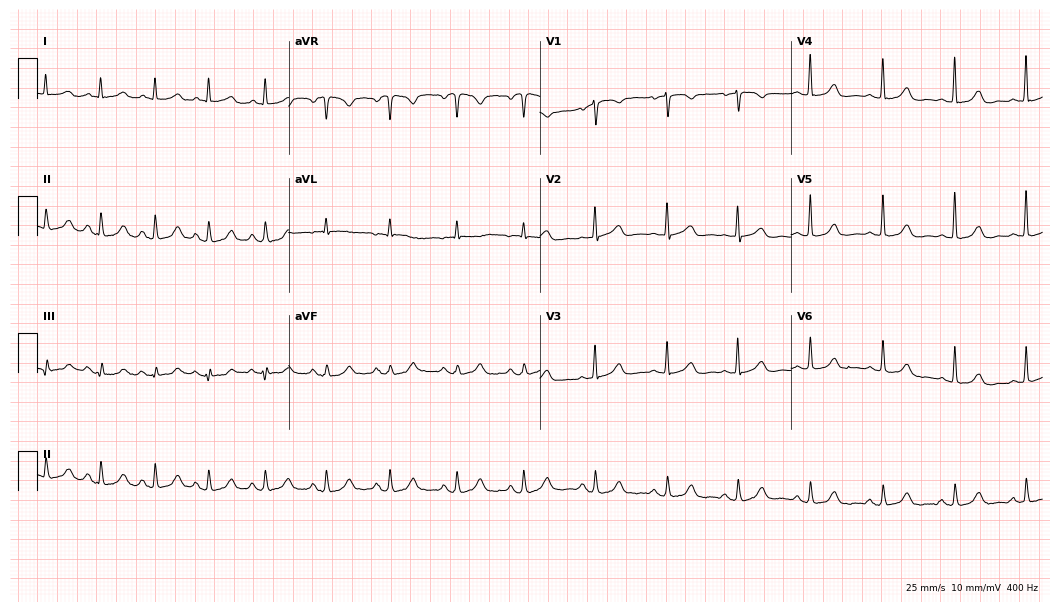
Resting 12-lead electrocardiogram (10.2-second recording at 400 Hz). Patient: a woman, 69 years old. Read as a normal ECG.